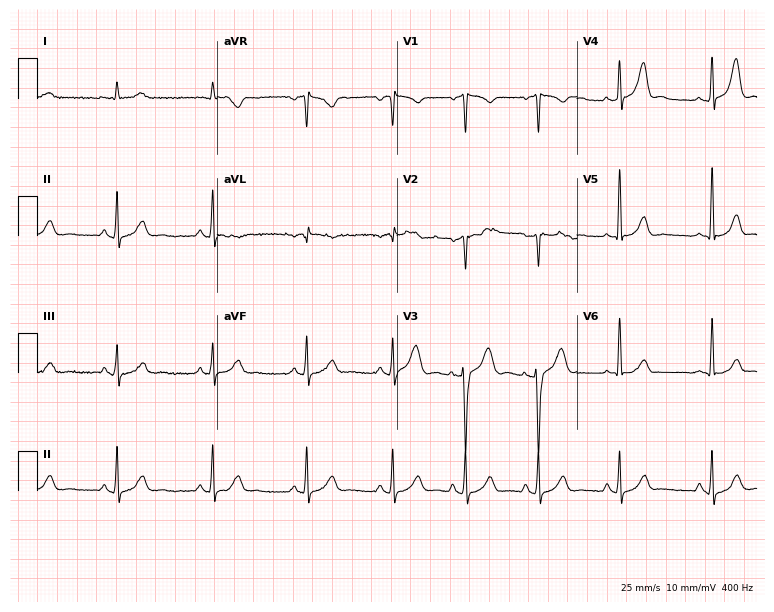
ECG (7.3-second recording at 400 Hz) — a male, 37 years old. Labelled as a normal ECG.